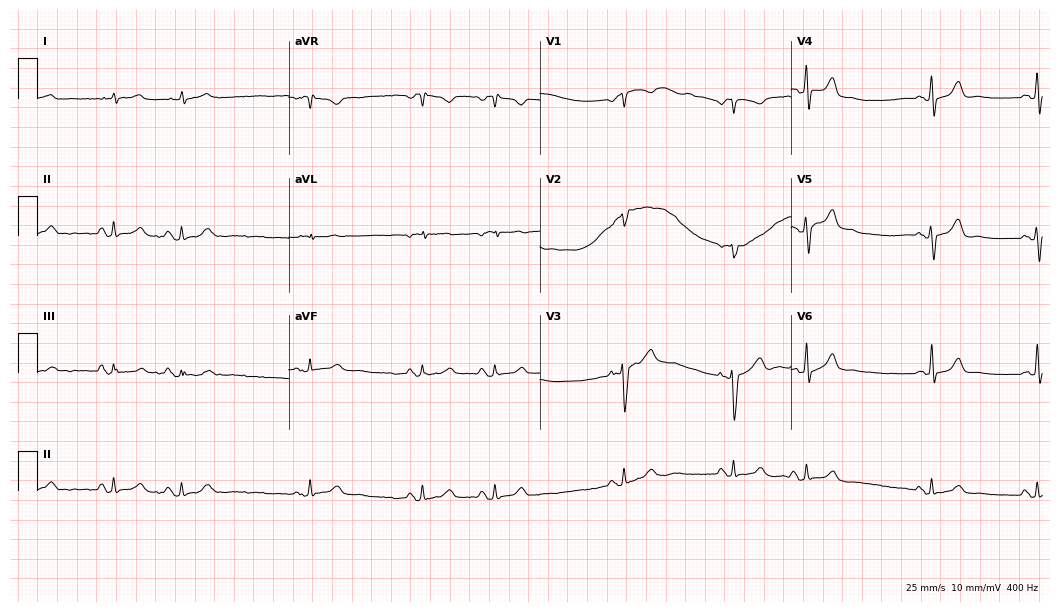
12-lead ECG from a male patient, 71 years old (10.2-second recording at 400 Hz). No first-degree AV block, right bundle branch block, left bundle branch block, sinus bradycardia, atrial fibrillation or sinus tachycardia recorded for this tracing.